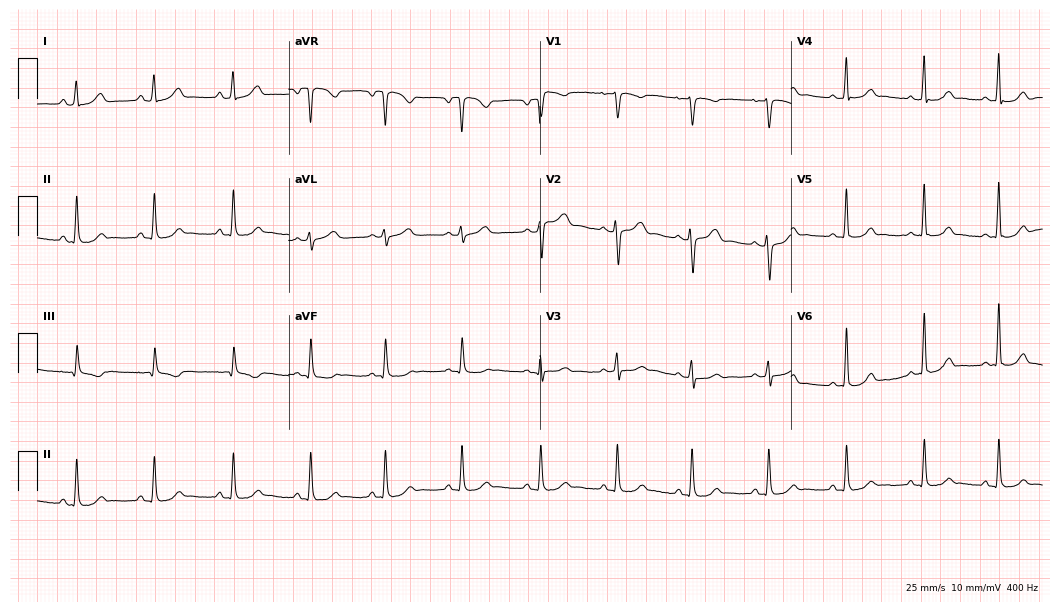
12-lead ECG (10.2-second recording at 400 Hz) from a woman, 35 years old. Labelled as a normal ECG.